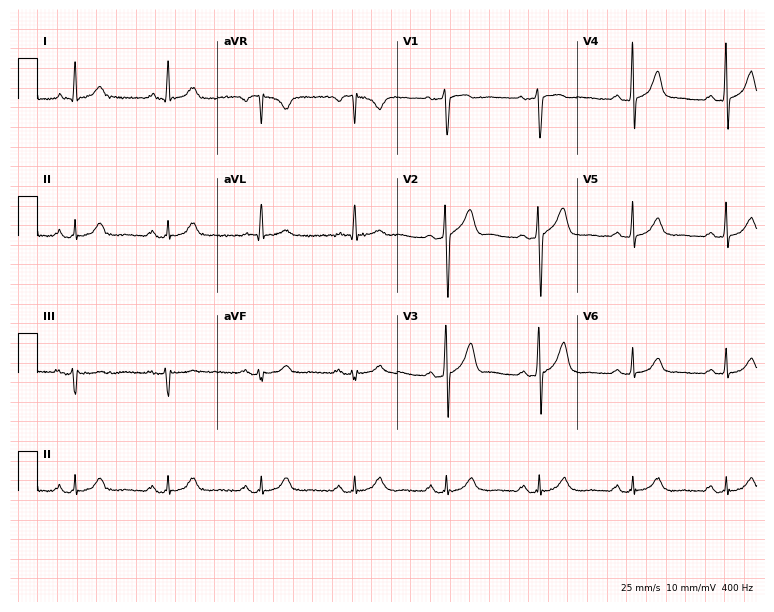
Resting 12-lead electrocardiogram. Patient: a 66-year-old man. None of these six findings is recorded: first-degree AV block, right bundle branch block, left bundle branch block, sinus bradycardia, atrial fibrillation, sinus tachycardia. Only these six findings were labelled.